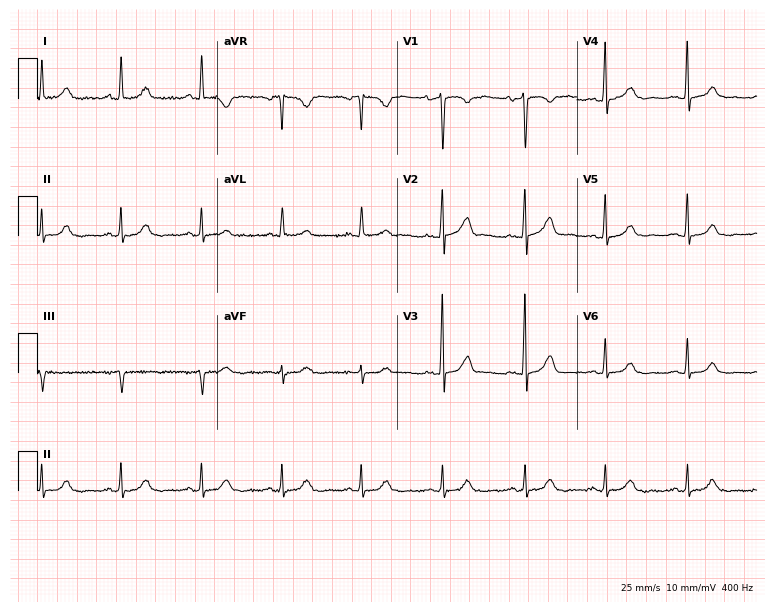
Resting 12-lead electrocardiogram. Patient: a female, 62 years old. Read as a normal ECG.